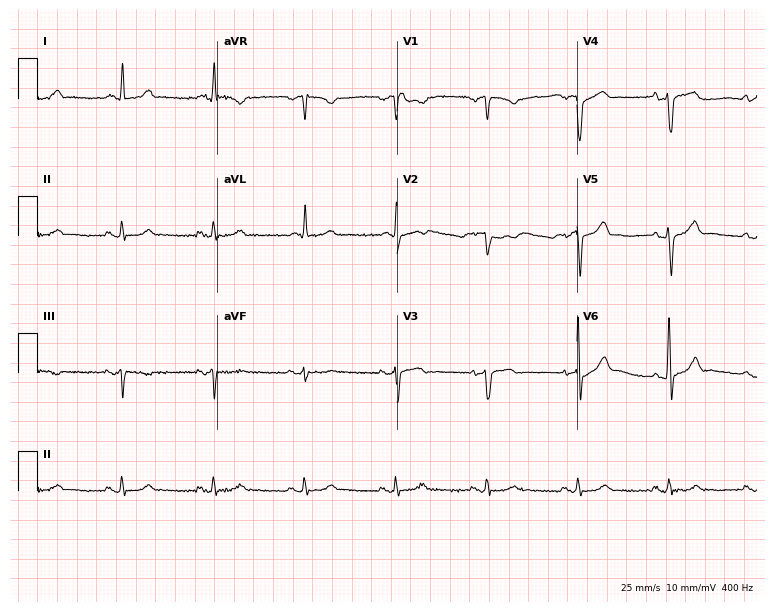
Resting 12-lead electrocardiogram (7.3-second recording at 400 Hz). Patient: a 66-year-old male. None of these six findings is recorded: first-degree AV block, right bundle branch block, left bundle branch block, sinus bradycardia, atrial fibrillation, sinus tachycardia. Other findings, if any, are not listed.